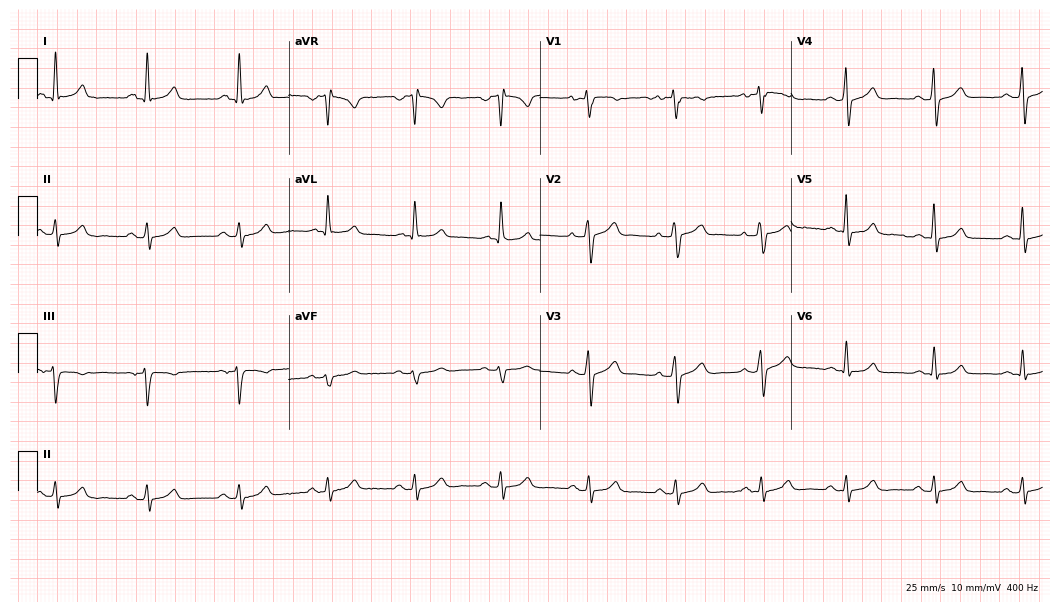
Electrocardiogram (10.2-second recording at 400 Hz), a 69-year-old male. Overall reading on record: normal ECG.